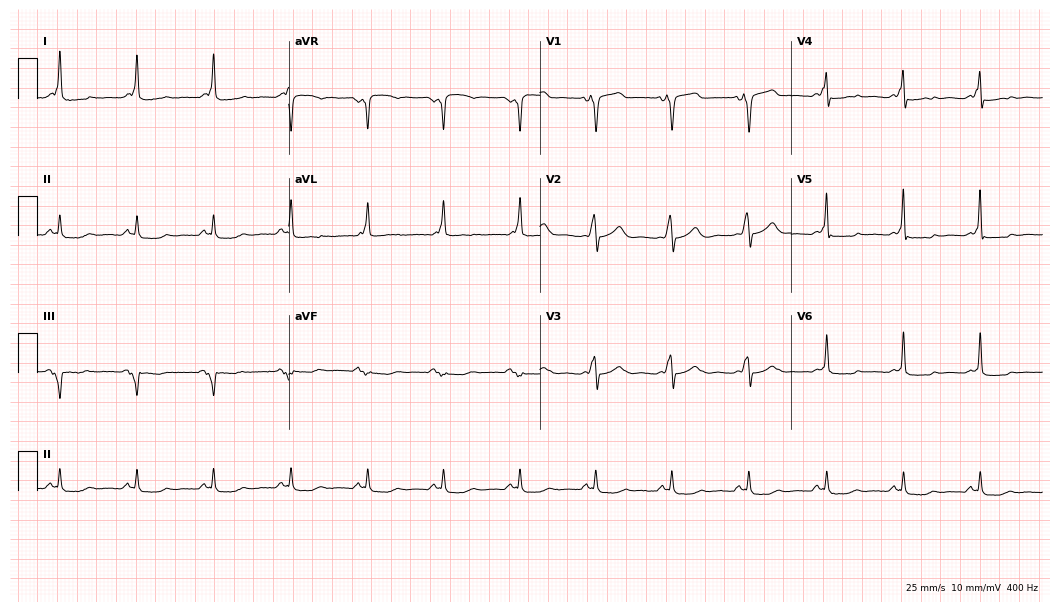
12-lead ECG from a female patient, 62 years old. No first-degree AV block, right bundle branch block (RBBB), left bundle branch block (LBBB), sinus bradycardia, atrial fibrillation (AF) or sinus tachycardia recorded for this tracing.